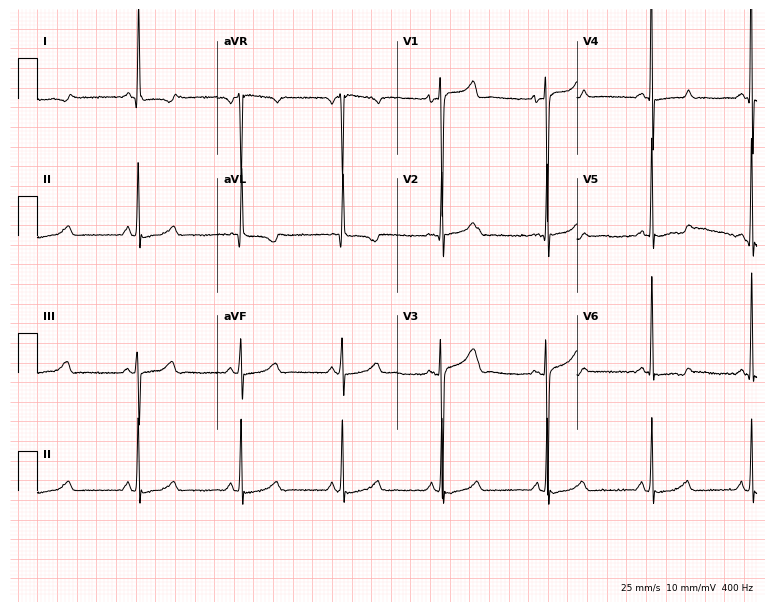
Electrocardiogram, a woman, 51 years old. Of the six screened findings (first-degree AV block, right bundle branch block, left bundle branch block, sinus bradycardia, atrial fibrillation, sinus tachycardia), none is recorded. Only these six findings were labelled.